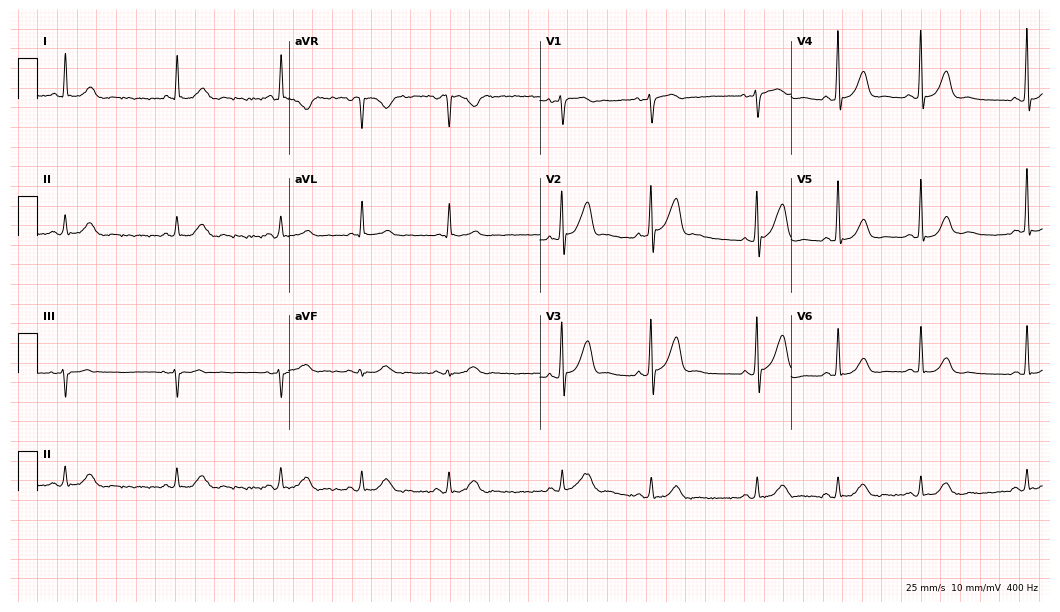
Standard 12-lead ECG recorded from a 79-year-old male patient. Read as a normal ECG.